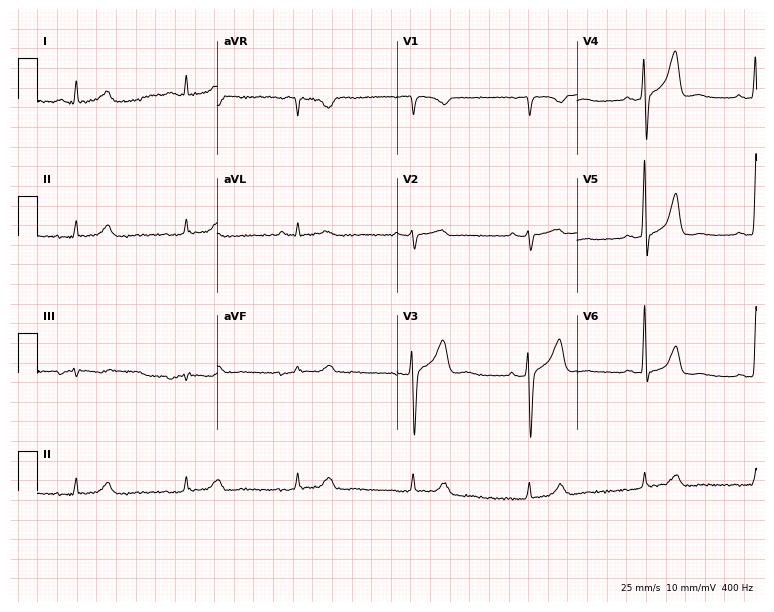
ECG (7.3-second recording at 400 Hz) — a man, 69 years old. Screened for six findings — first-degree AV block, right bundle branch block (RBBB), left bundle branch block (LBBB), sinus bradycardia, atrial fibrillation (AF), sinus tachycardia — none is recorded. Findings outside these six are not listed.